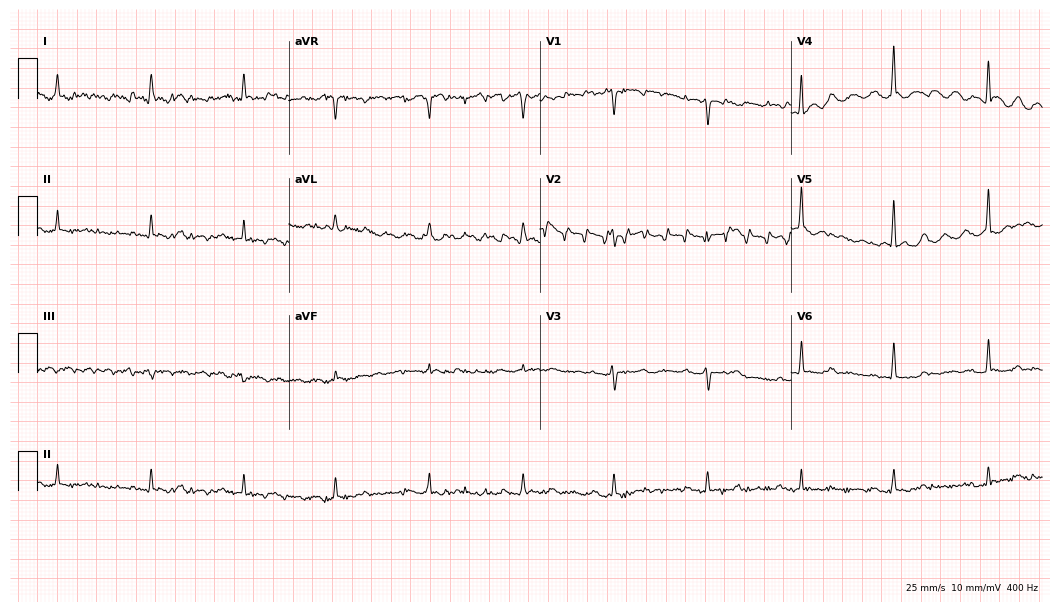
12-lead ECG from a 72-year-old female. Screened for six findings — first-degree AV block, right bundle branch block, left bundle branch block, sinus bradycardia, atrial fibrillation, sinus tachycardia — none is recorded.